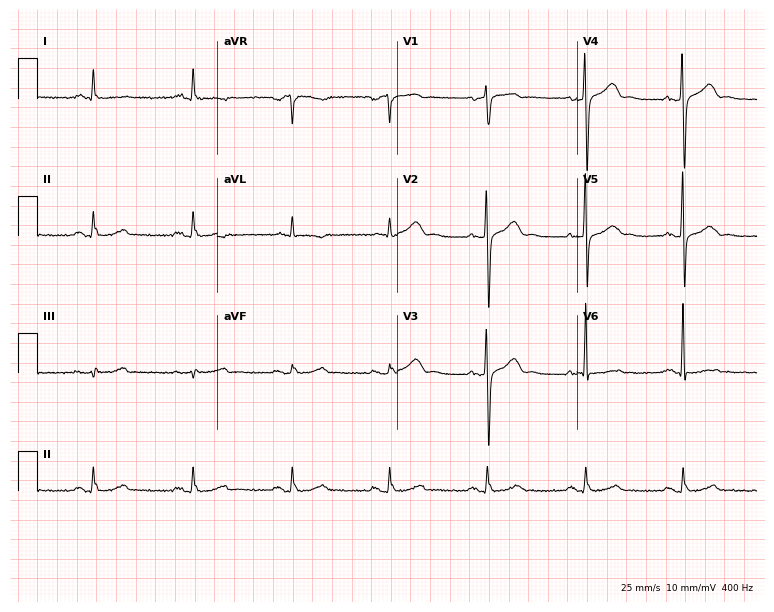
12-lead ECG from a man, 73 years old. Recorded interpretation: within normal limits.